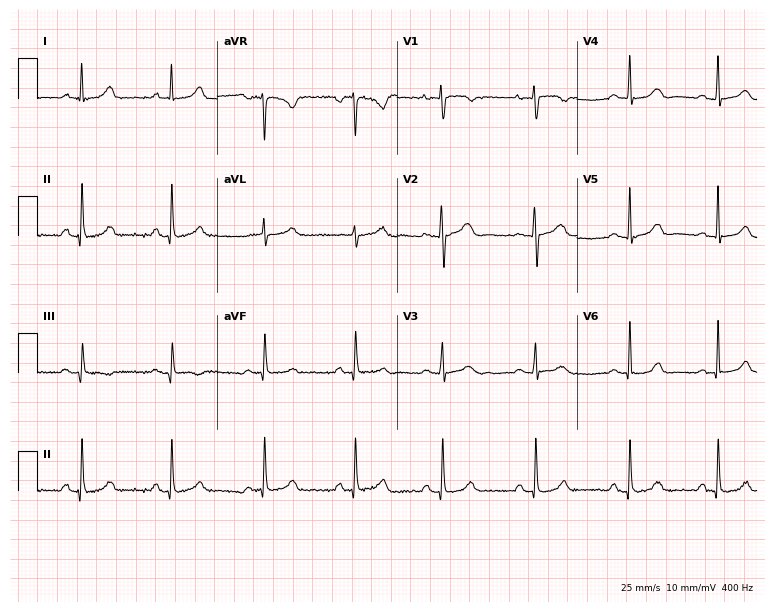
12-lead ECG from a 35-year-old female patient (7.3-second recording at 400 Hz). No first-degree AV block, right bundle branch block, left bundle branch block, sinus bradycardia, atrial fibrillation or sinus tachycardia recorded for this tracing.